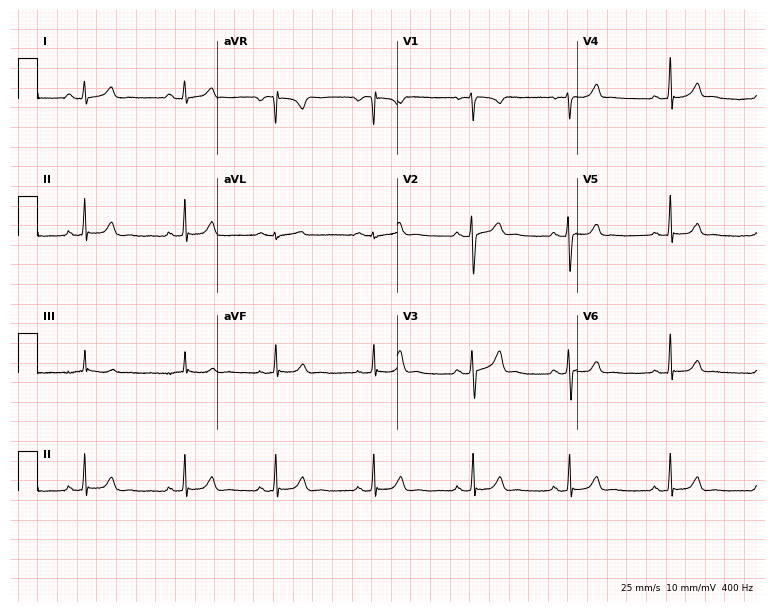
Resting 12-lead electrocardiogram (7.3-second recording at 400 Hz). Patient: a 31-year-old female. Read as a normal ECG.